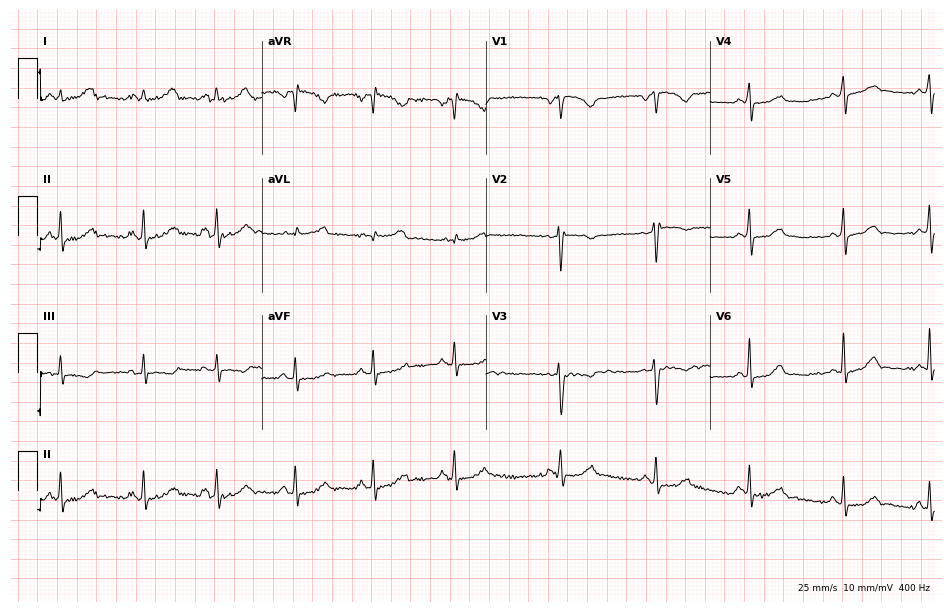
Electrocardiogram, a 21-year-old female. Overall reading on record: normal ECG.